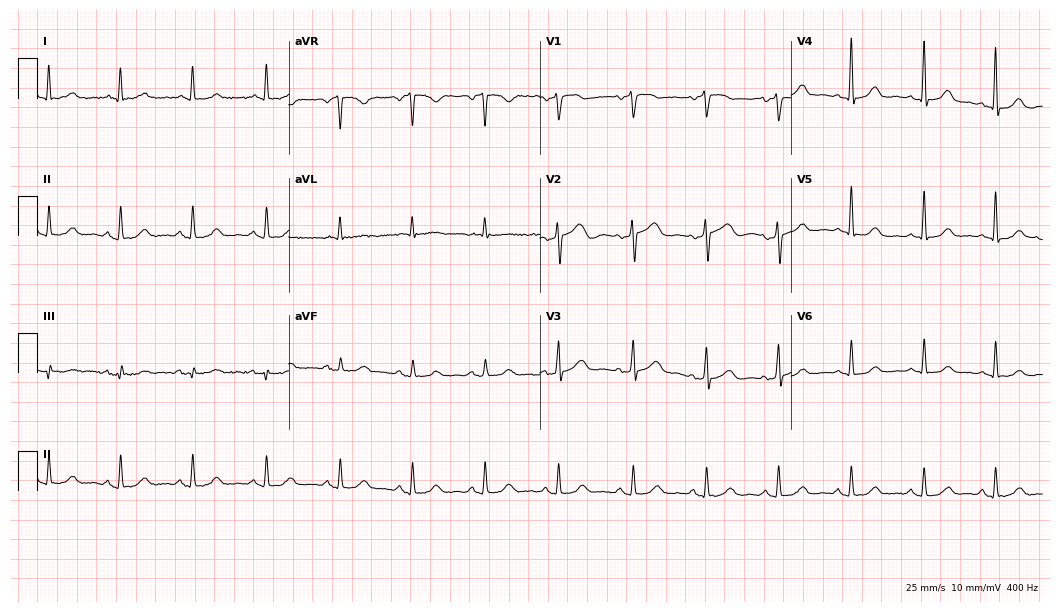
ECG — a 64-year-old woman. Labelled as a normal ECG.